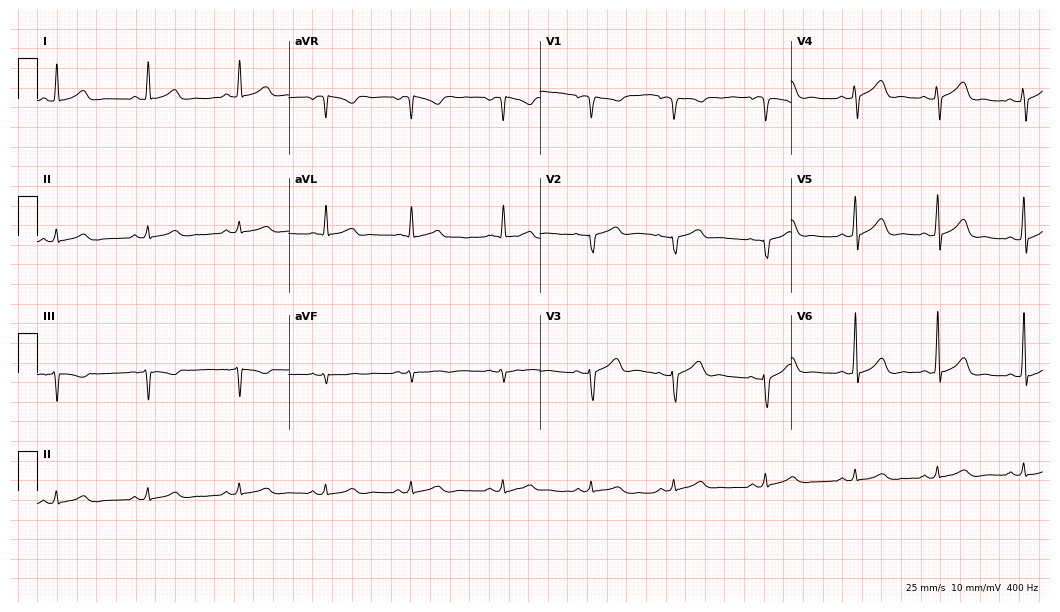
Electrocardiogram, a 43-year-old female. Overall reading on record: normal ECG.